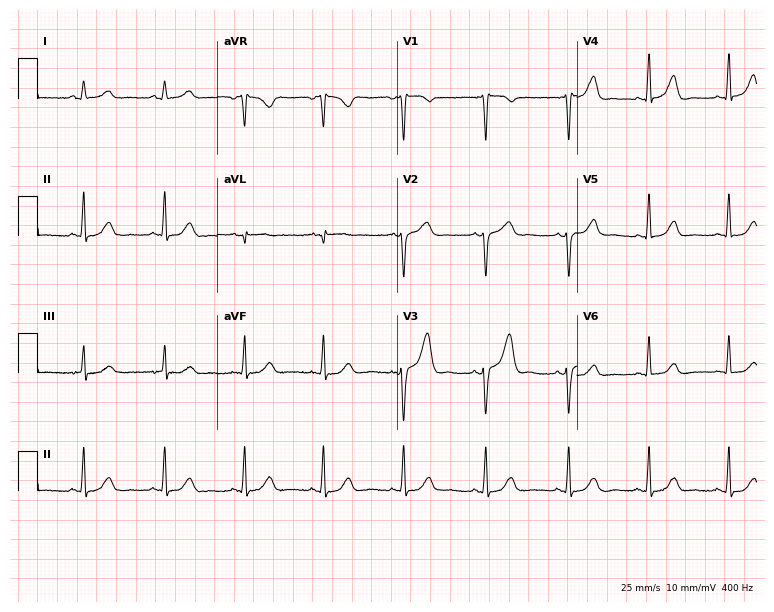
Electrocardiogram, a female patient, 47 years old. Of the six screened findings (first-degree AV block, right bundle branch block (RBBB), left bundle branch block (LBBB), sinus bradycardia, atrial fibrillation (AF), sinus tachycardia), none is recorded. Only these six findings were labelled.